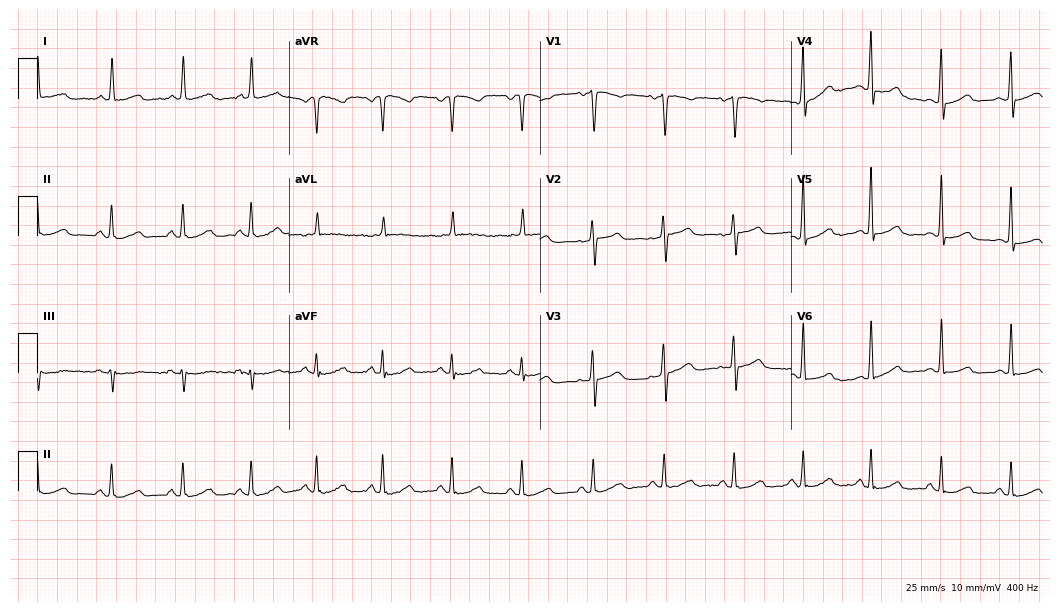
Electrocardiogram (10.2-second recording at 400 Hz), a female patient, 80 years old. Overall reading on record: normal ECG.